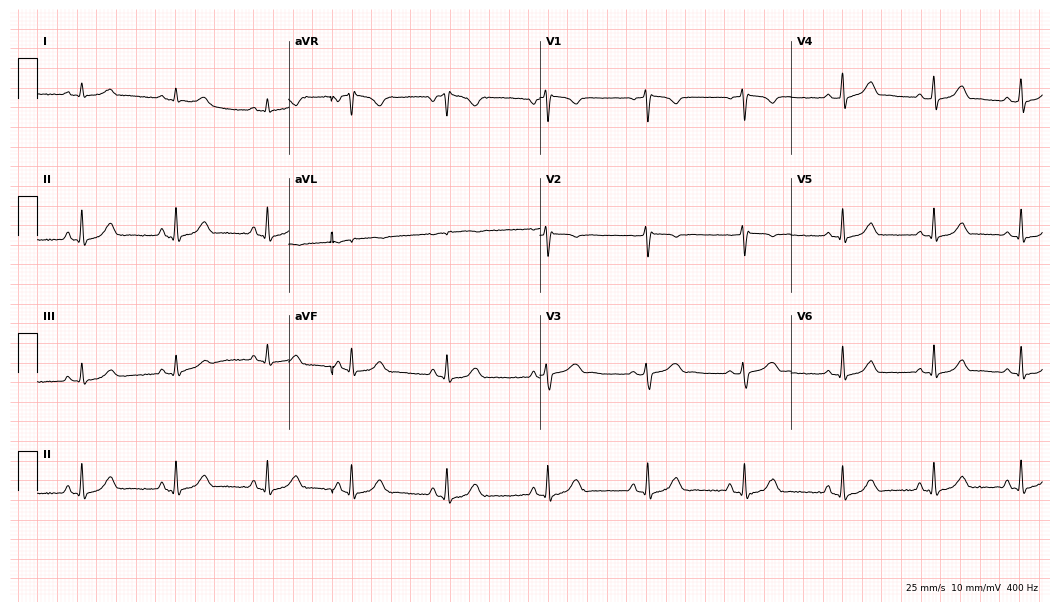
12-lead ECG from a female, 33 years old. Labelled as a normal ECG.